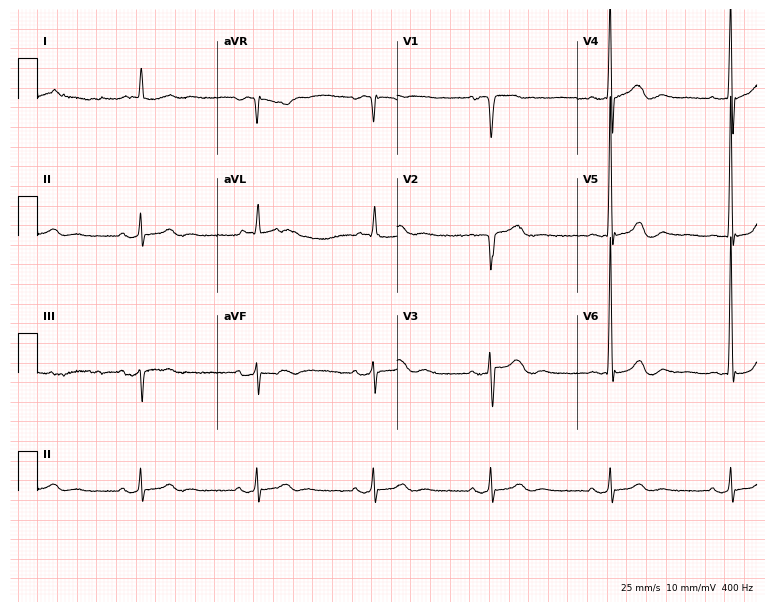
Resting 12-lead electrocardiogram. Patient: a male, 62 years old. None of these six findings is recorded: first-degree AV block, right bundle branch block, left bundle branch block, sinus bradycardia, atrial fibrillation, sinus tachycardia.